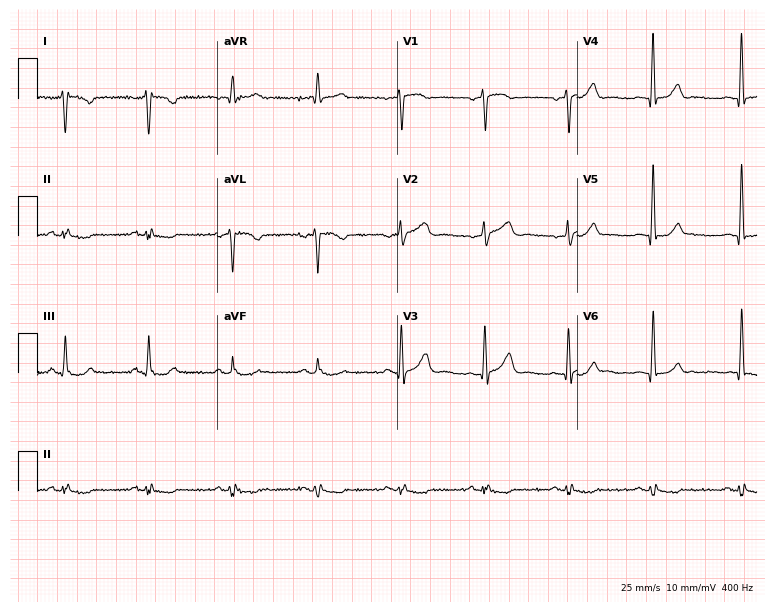
12-lead ECG from a male, 80 years old (7.3-second recording at 400 Hz). Recorded interpretation: within normal limits.